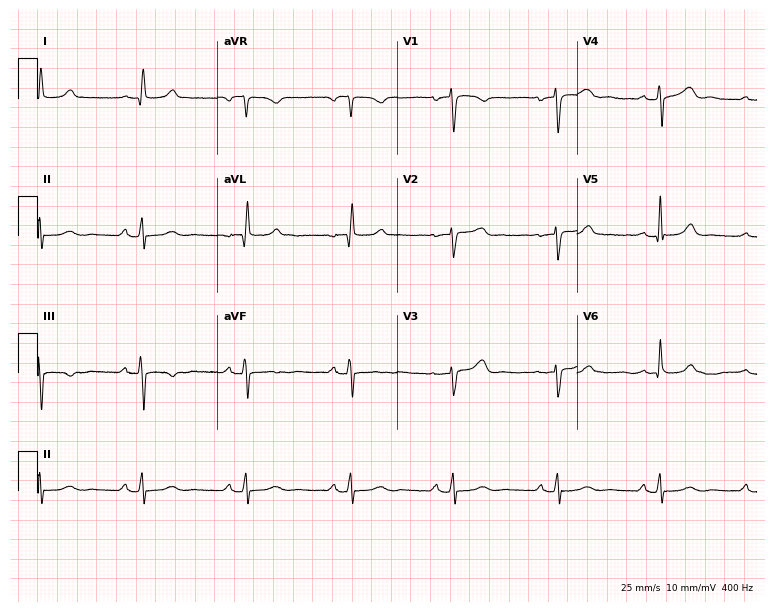
ECG (7.3-second recording at 400 Hz) — a female, 43 years old. Labelled as a normal ECG.